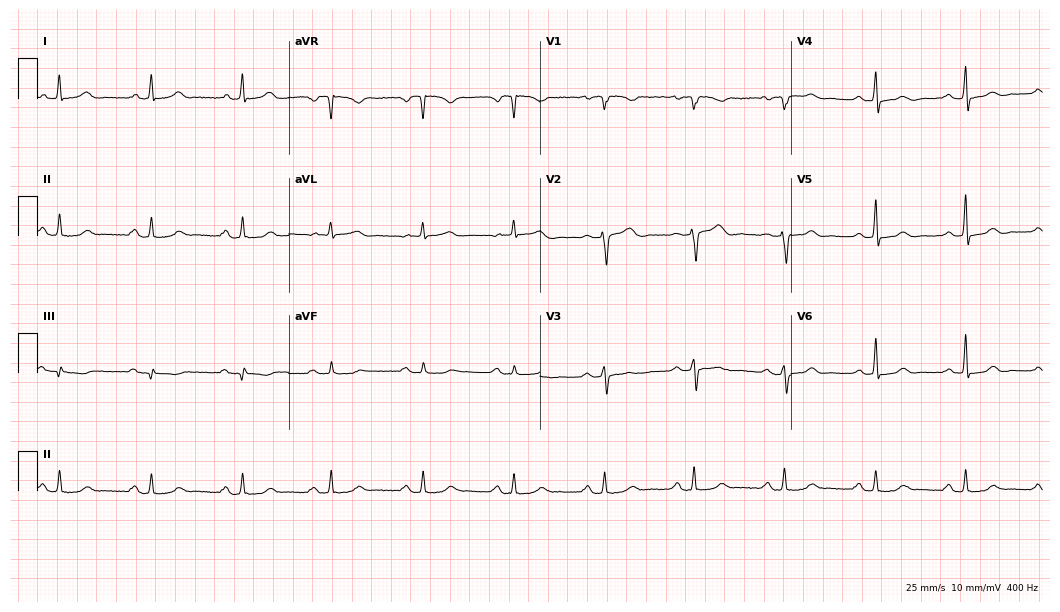
12-lead ECG (10.2-second recording at 400 Hz) from a 64-year-old female patient. Labelled as a normal ECG.